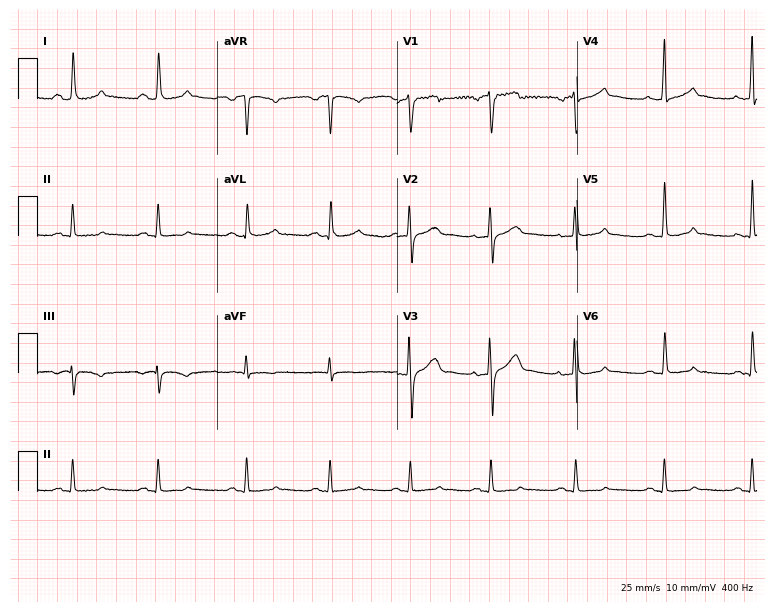
12-lead ECG from a male patient, 40 years old (7.3-second recording at 400 Hz). No first-degree AV block, right bundle branch block (RBBB), left bundle branch block (LBBB), sinus bradycardia, atrial fibrillation (AF) or sinus tachycardia recorded for this tracing. Findings outside these six are not listed.